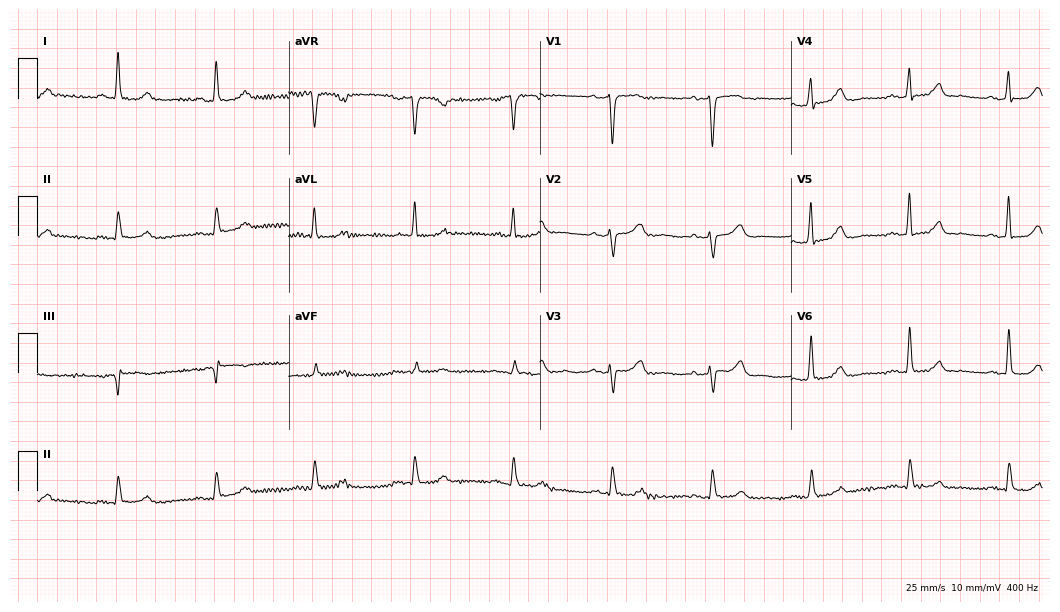
ECG — a 71-year-old female patient. Labelled as a normal ECG.